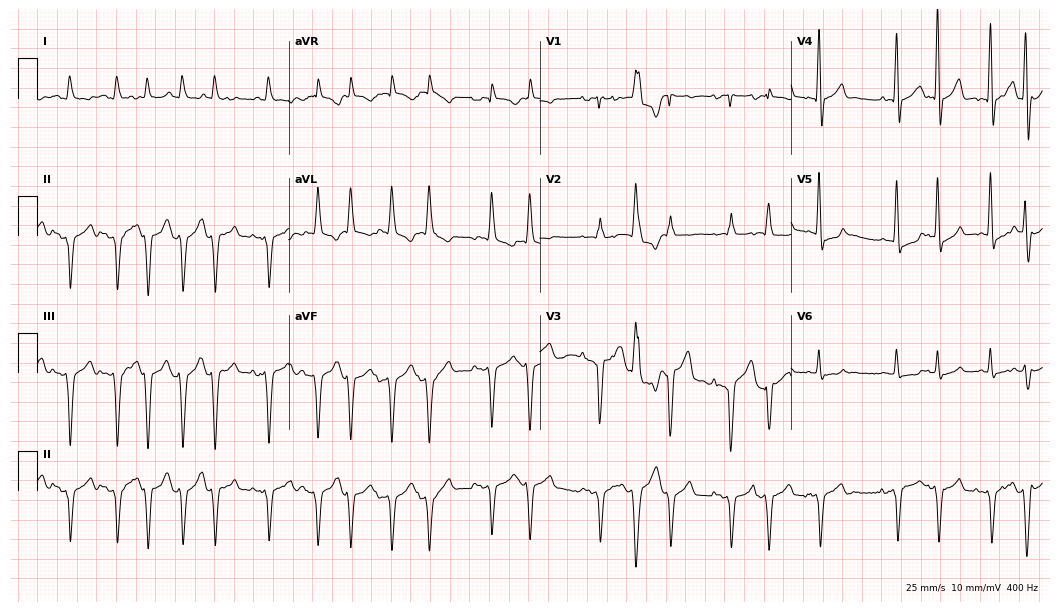
Electrocardiogram, a 72-year-old male. Interpretation includes atrial fibrillation, sinus tachycardia (a sinus rate of 100 beats per minute or more).